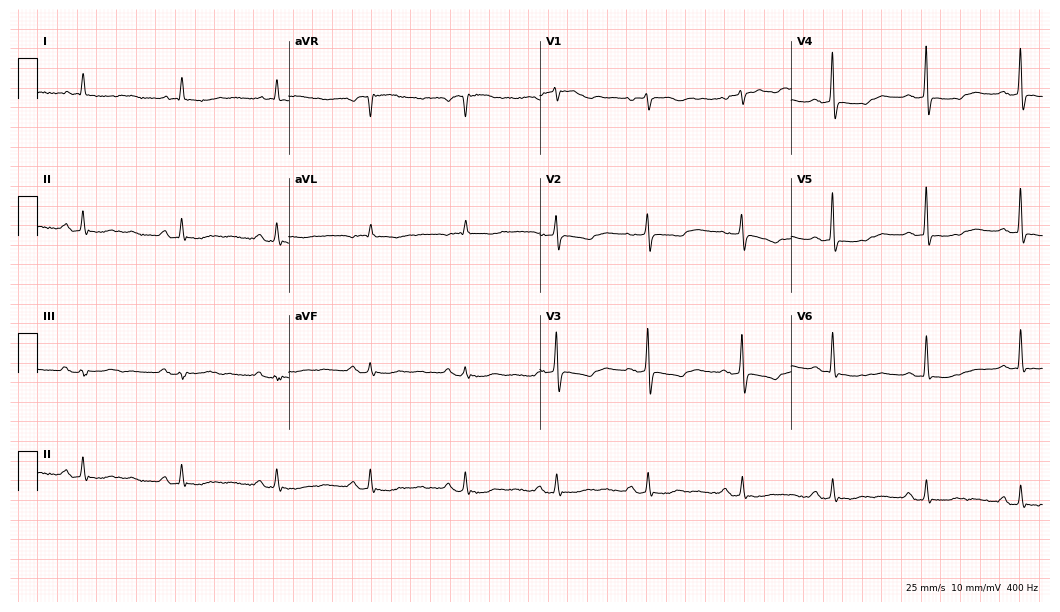
Electrocardiogram, a 76-year-old female. Of the six screened findings (first-degree AV block, right bundle branch block (RBBB), left bundle branch block (LBBB), sinus bradycardia, atrial fibrillation (AF), sinus tachycardia), none is recorded. Findings outside these six are not listed.